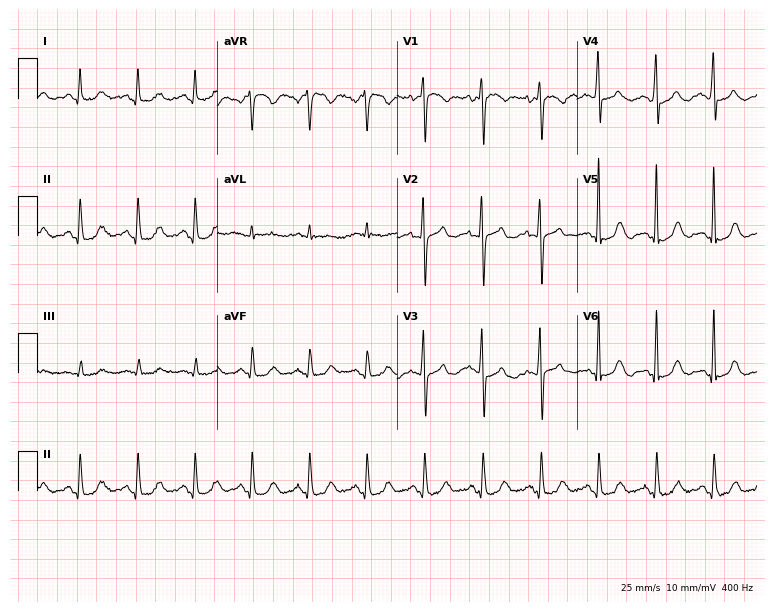
12-lead ECG from a female patient, 46 years old. Recorded interpretation: within normal limits.